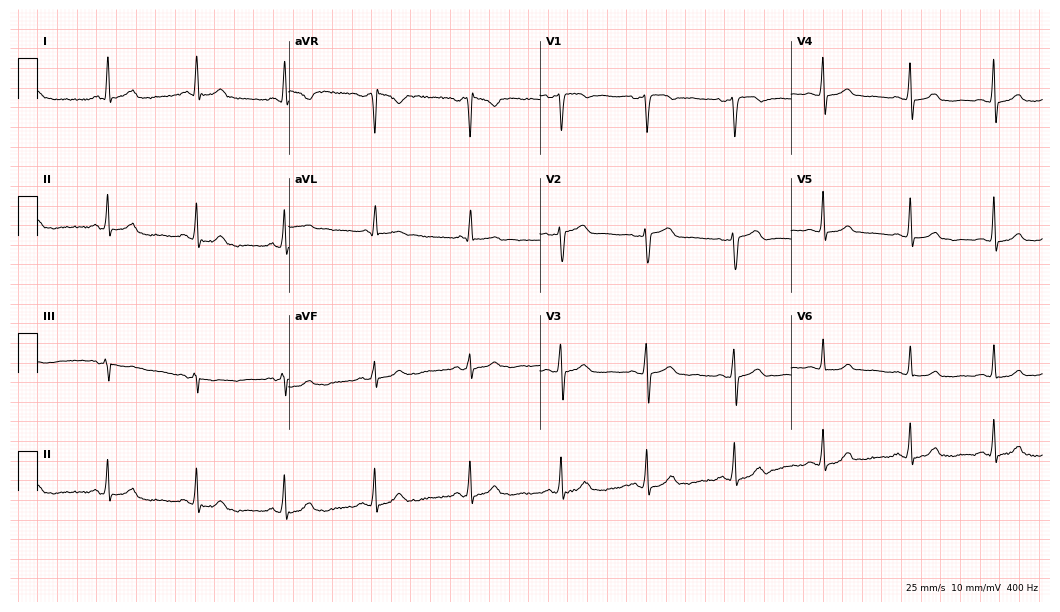
Resting 12-lead electrocardiogram. Patient: a female, 33 years old. Read as a normal ECG.